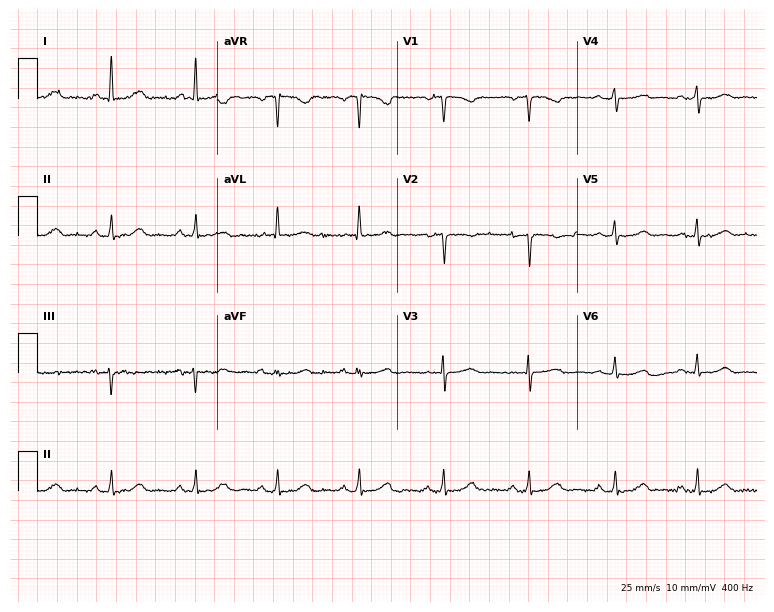
Standard 12-lead ECG recorded from a woman, 57 years old. None of these six findings is recorded: first-degree AV block, right bundle branch block, left bundle branch block, sinus bradycardia, atrial fibrillation, sinus tachycardia. Other findings, if any, are not listed.